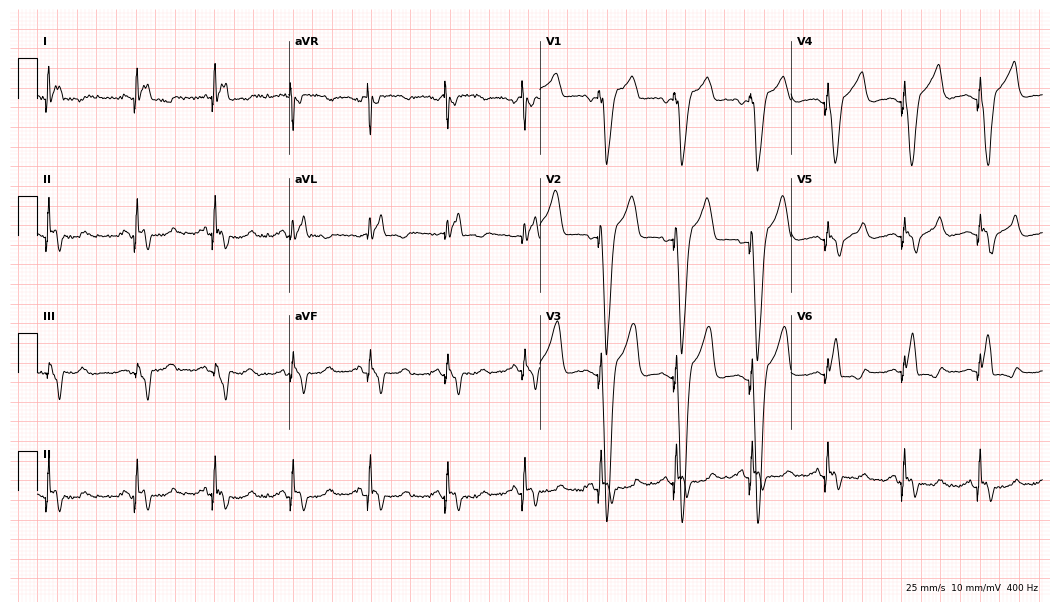
Resting 12-lead electrocardiogram. Patient: a male, 76 years old. None of these six findings is recorded: first-degree AV block, right bundle branch block, left bundle branch block, sinus bradycardia, atrial fibrillation, sinus tachycardia. Only these six findings were labelled.